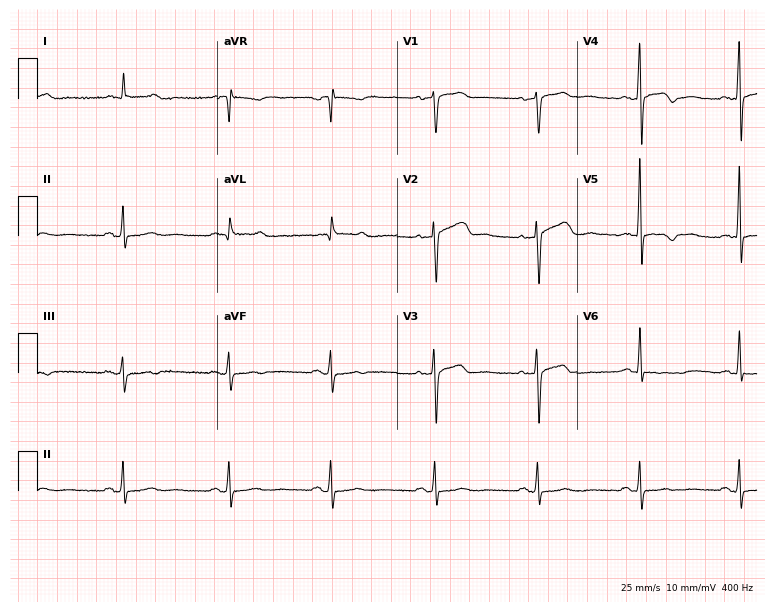
Standard 12-lead ECG recorded from a 57-year-old male. None of these six findings is recorded: first-degree AV block, right bundle branch block, left bundle branch block, sinus bradycardia, atrial fibrillation, sinus tachycardia. Other findings, if any, are not listed.